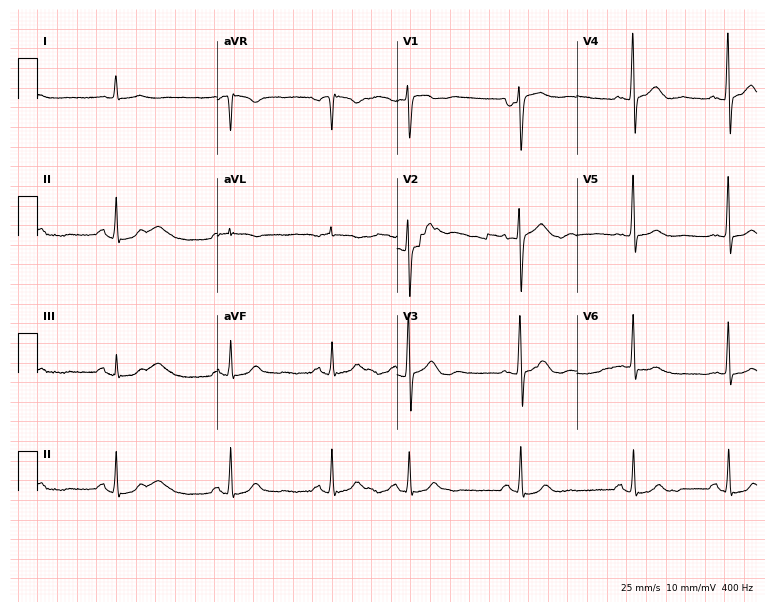
Standard 12-lead ECG recorded from a 75-year-old male (7.3-second recording at 400 Hz). The tracing shows atrial fibrillation.